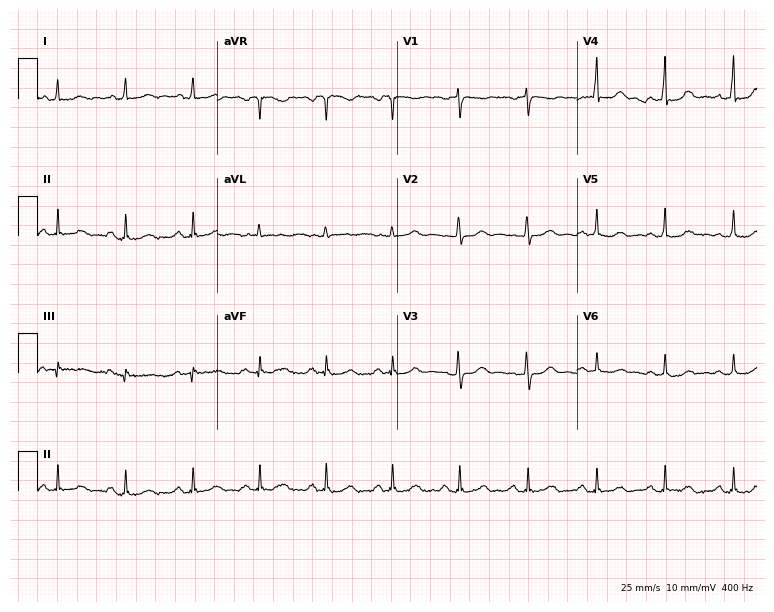
Standard 12-lead ECG recorded from a woman, 72 years old (7.3-second recording at 400 Hz). Read as a normal ECG.